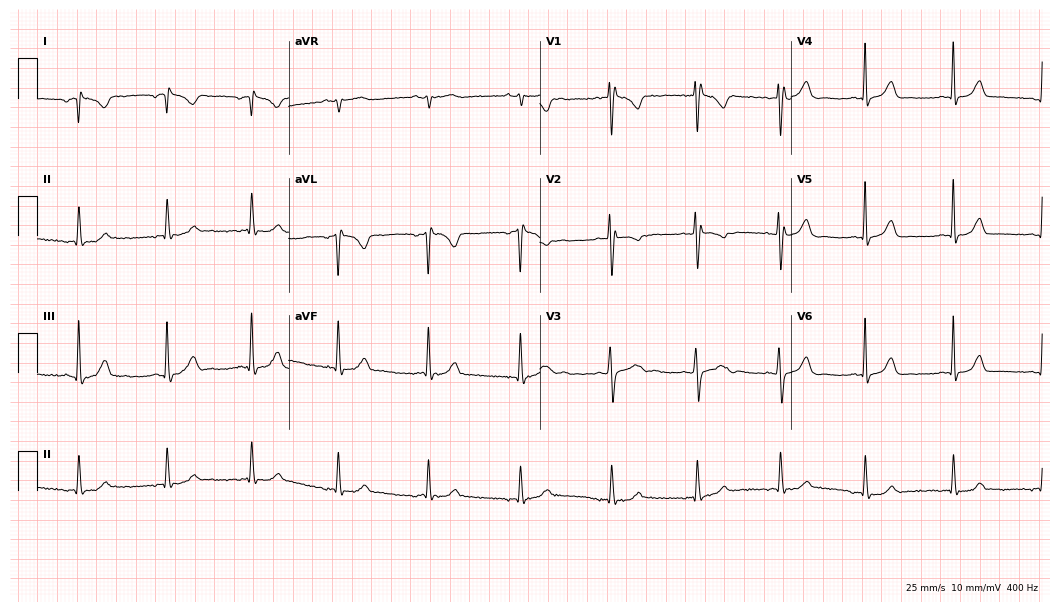
ECG — a female patient, 19 years old. Screened for six findings — first-degree AV block, right bundle branch block (RBBB), left bundle branch block (LBBB), sinus bradycardia, atrial fibrillation (AF), sinus tachycardia — none is recorded.